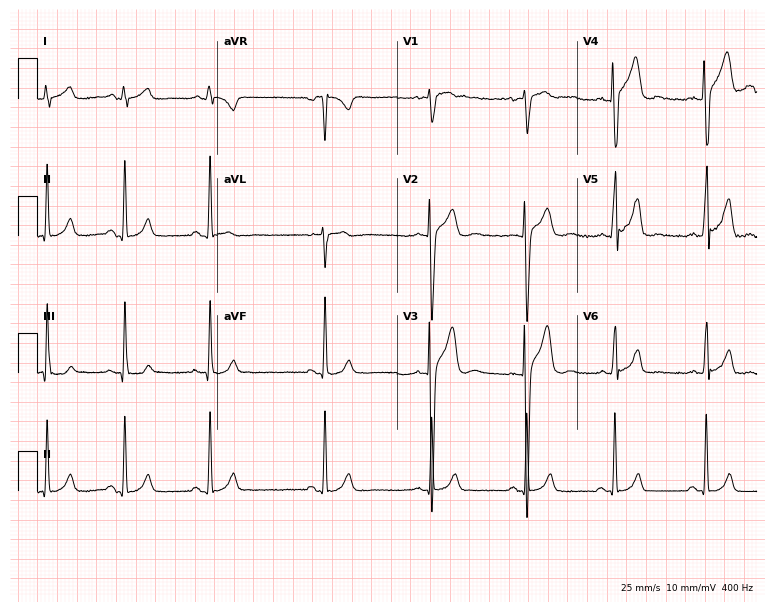
ECG (7.3-second recording at 400 Hz) — a man, 19 years old. Labelled as a normal ECG.